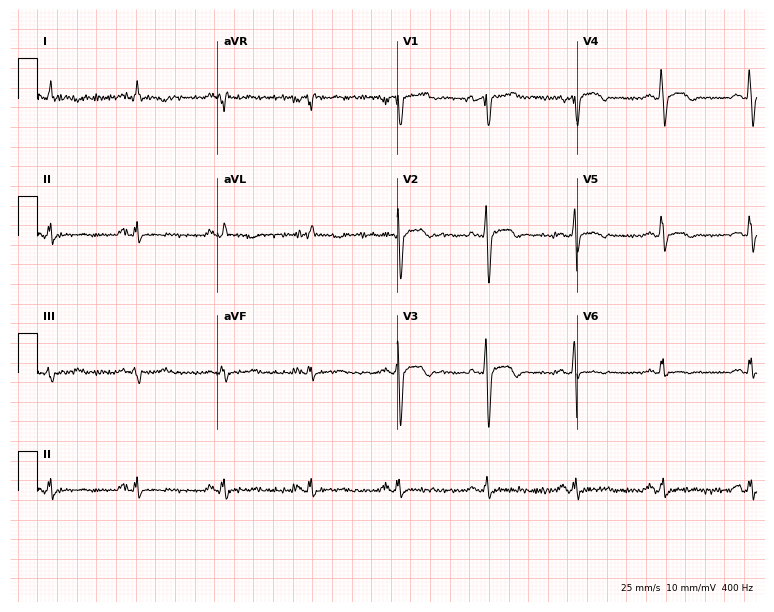
ECG (7.3-second recording at 400 Hz) — a 58-year-old female. Labelled as a normal ECG.